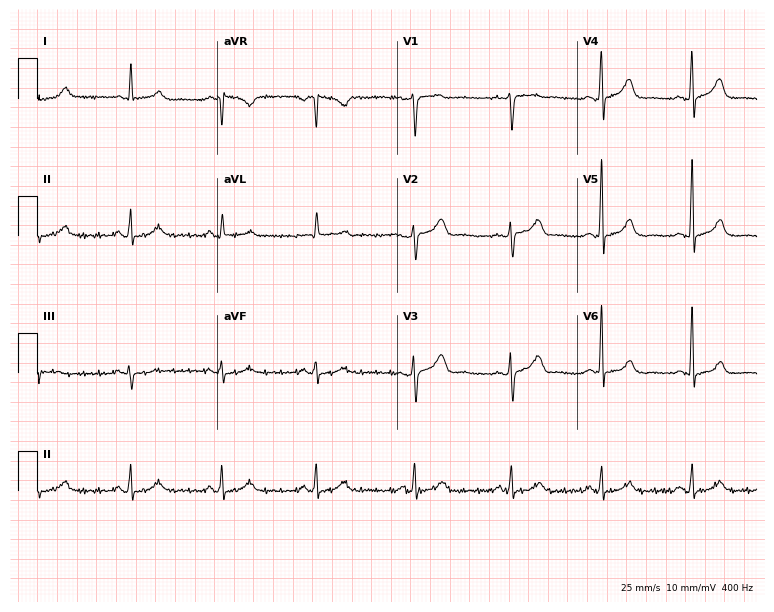
12-lead ECG from a female patient, 49 years old (7.3-second recording at 400 Hz). No first-degree AV block, right bundle branch block (RBBB), left bundle branch block (LBBB), sinus bradycardia, atrial fibrillation (AF) or sinus tachycardia recorded for this tracing.